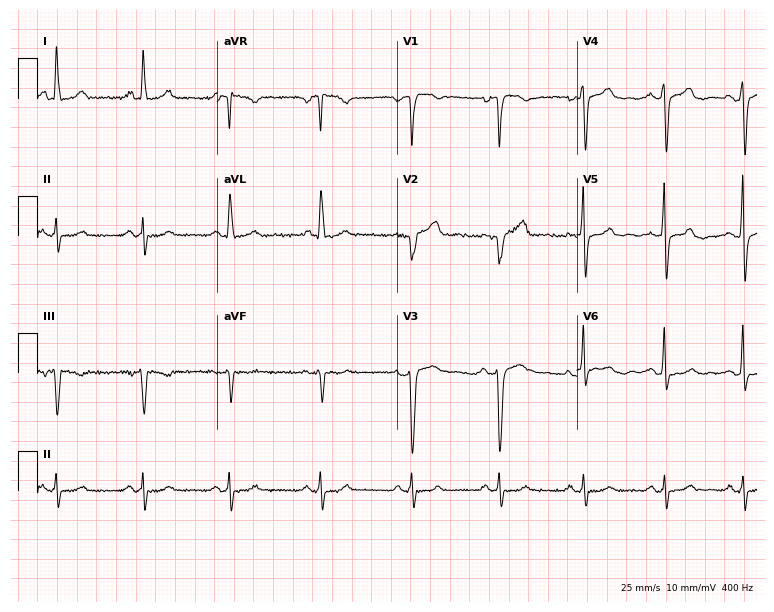
ECG — a female patient, 51 years old. Screened for six findings — first-degree AV block, right bundle branch block (RBBB), left bundle branch block (LBBB), sinus bradycardia, atrial fibrillation (AF), sinus tachycardia — none is recorded. Other findings, if any, are not listed.